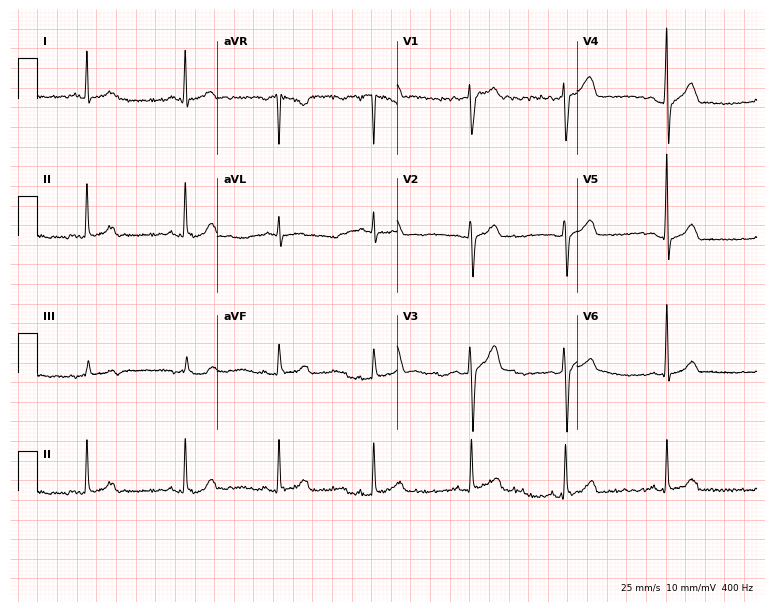
ECG (7.3-second recording at 400 Hz) — a 27-year-old male. Labelled as a normal ECG.